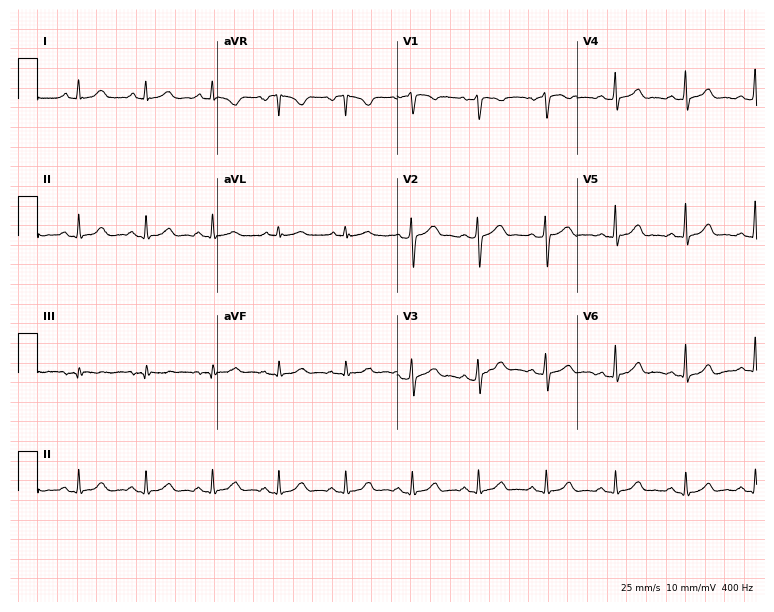
12-lead ECG from a woman, 45 years old. Recorded interpretation: within normal limits.